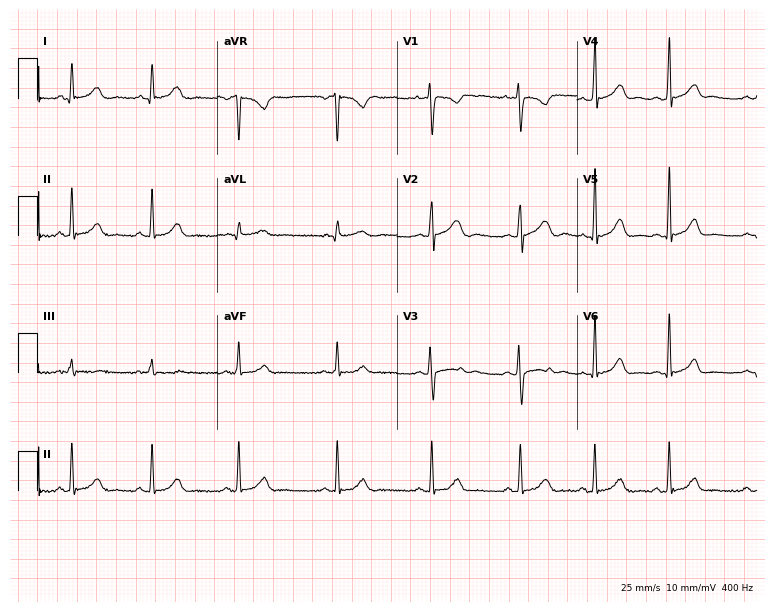
Electrocardiogram (7.3-second recording at 400 Hz), a 22-year-old woman. Of the six screened findings (first-degree AV block, right bundle branch block (RBBB), left bundle branch block (LBBB), sinus bradycardia, atrial fibrillation (AF), sinus tachycardia), none is recorded. Other findings, if any, are not listed.